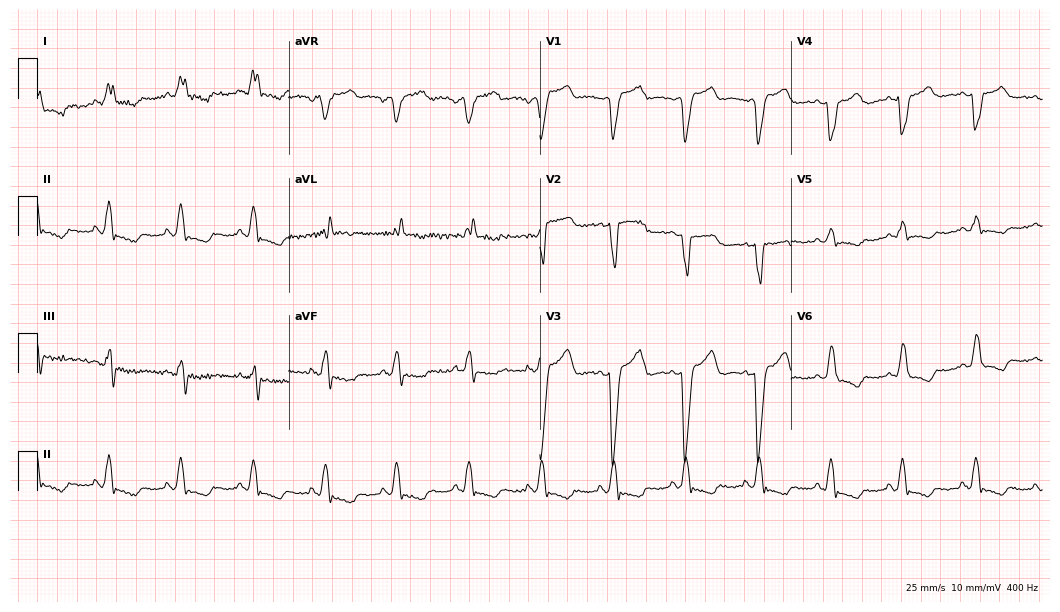
12-lead ECG from a 61-year-old woman (10.2-second recording at 400 Hz). Shows left bundle branch block (LBBB).